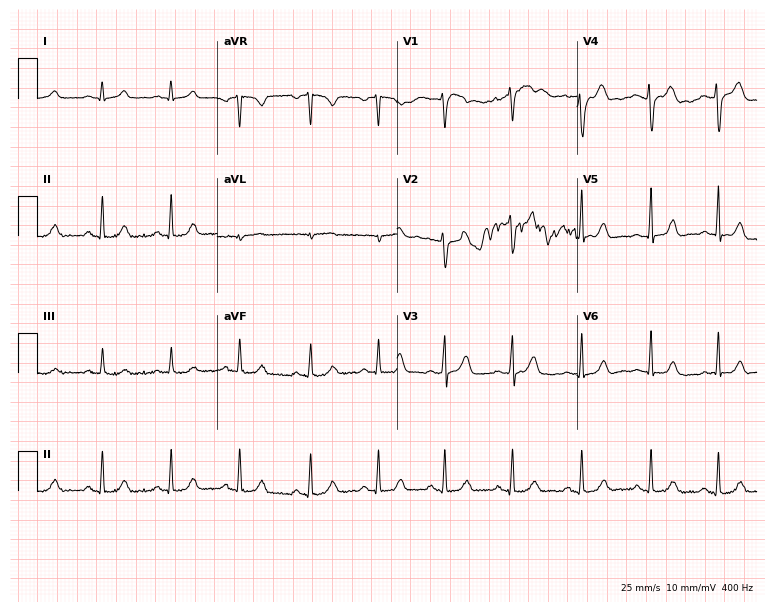
ECG (7.3-second recording at 400 Hz) — a woman, 28 years old. Screened for six findings — first-degree AV block, right bundle branch block (RBBB), left bundle branch block (LBBB), sinus bradycardia, atrial fibrillation (AF), sinus tachycardia — none is recorded. Other findings, if any, are not listed.